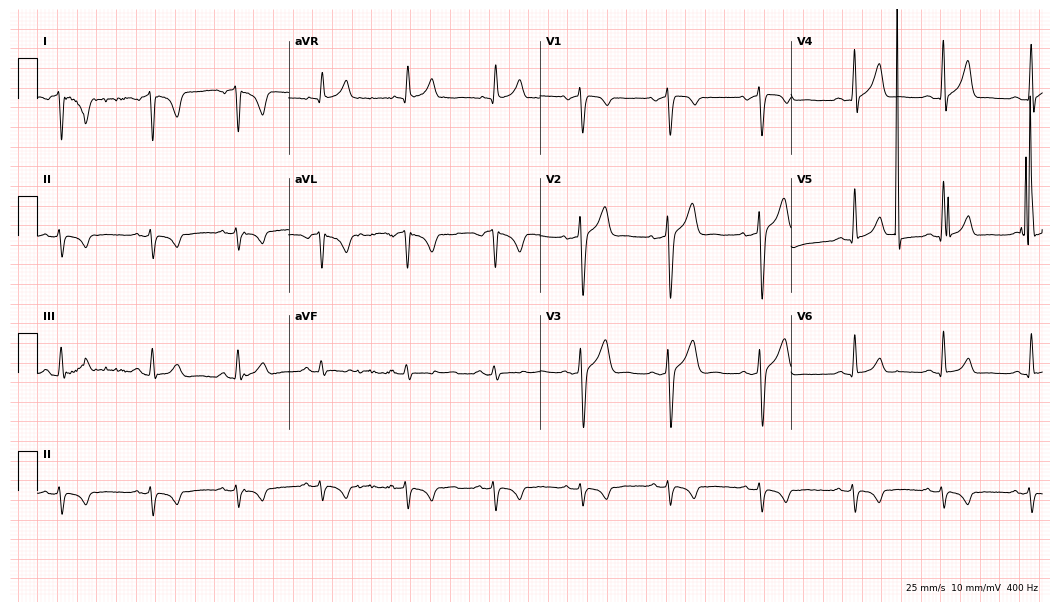
Resting 12-lead electrocardiogram (10.2-second recording at 400 Hz). Patient: a 35-year-old male. None of these six findings is recorded: first-degree AV block, right bundle branch block, left bundle branch block, sinus bradycardia, atrial fibrillation, sinus tachycardia. Only these six findings were labelled.